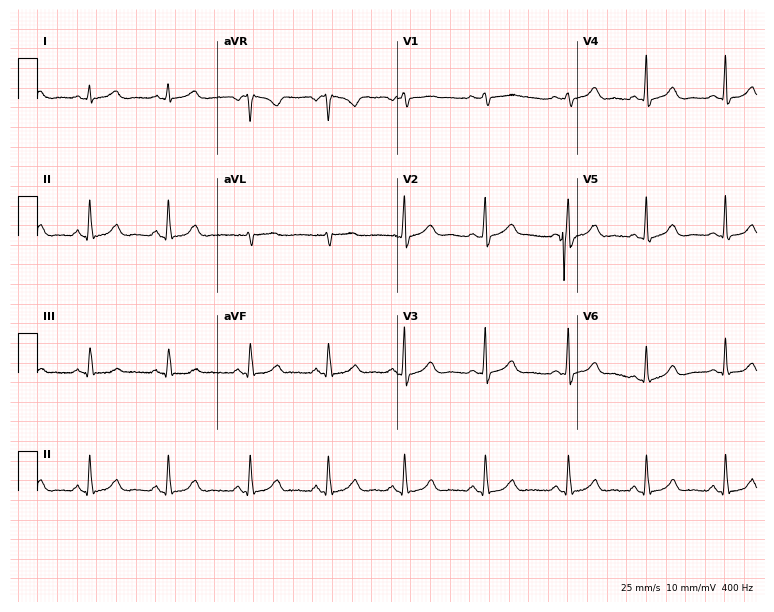
Electrocardiogram (7.3-second recording at 400 Hz), a female patient, 30 years old. Overall reading on record: normal ECG.